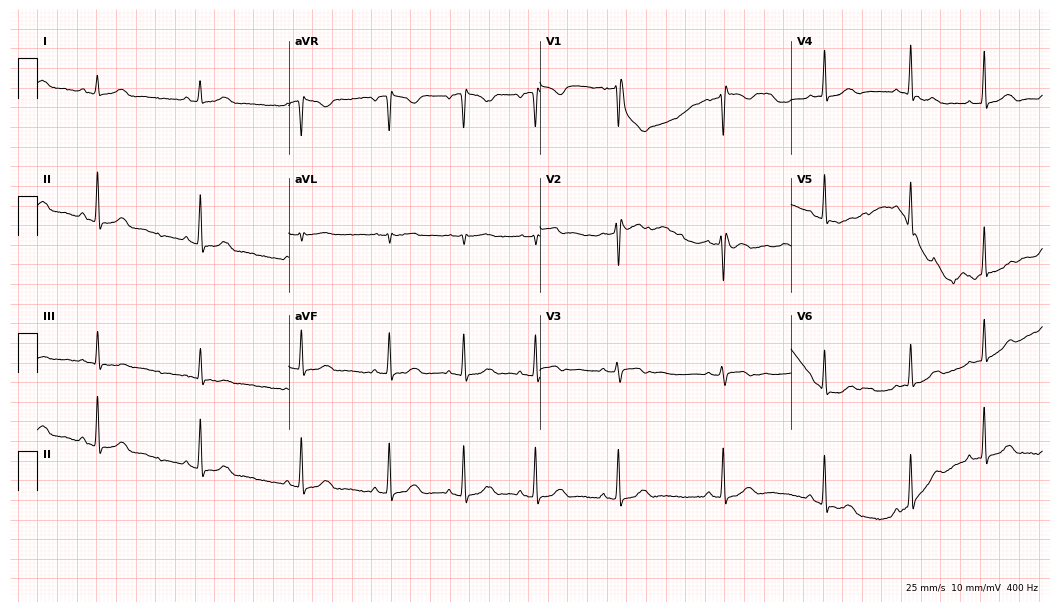
12-lead ECG (10.2-second recording at 400 Hz) from a 23-year-old female patient. Screened for six findings — first-degree AV block, right bundle branch block, left bundle branch block, sinus bradycardia, atrial fibrillation, sinus tachycardia — none is recorded.